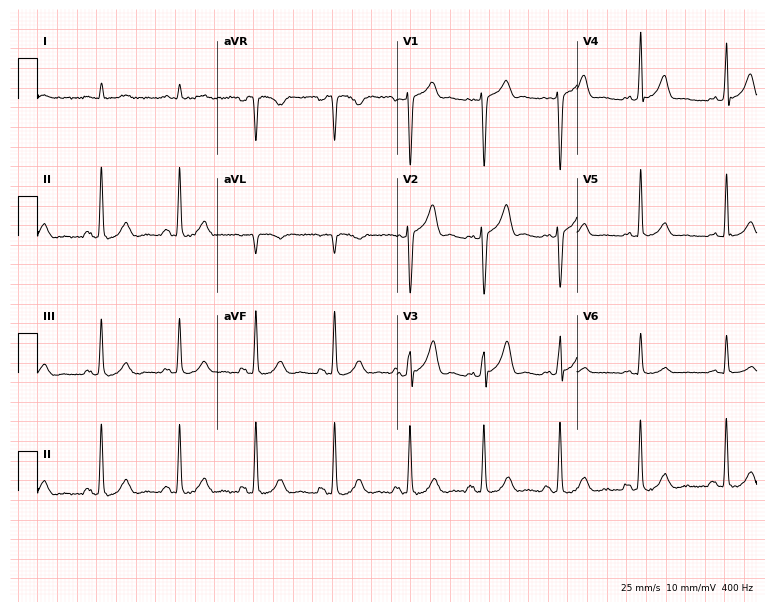
12-lead ECG (7.3-second recording at 400 Hz) from a 49-year-old male patient. Screened for six findings — first-degree AV block, right bundle branch block, left bundle branch block, sinus bradycardia, atrial fibrillation, sinus tachycardia — none is recorded.